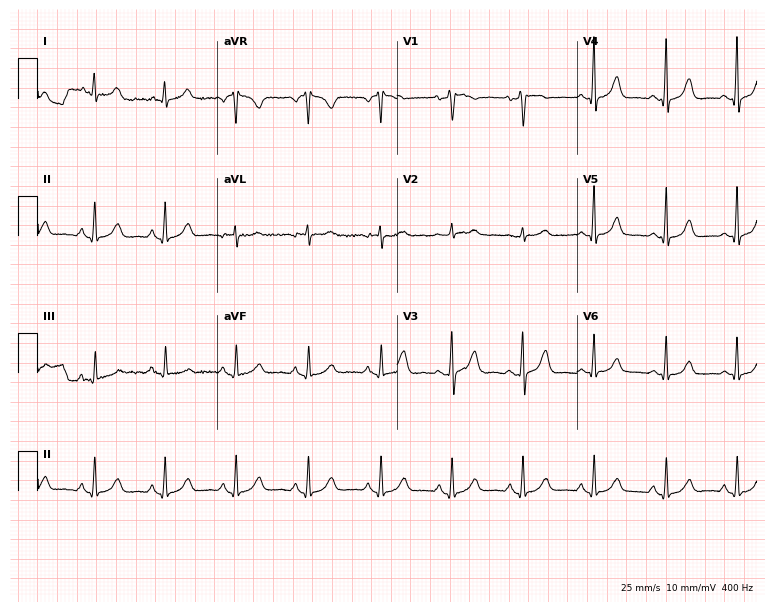
Resting 12-lead electrocardiogram. Patient: a 55-year-old woman. Read as a normal ECG.